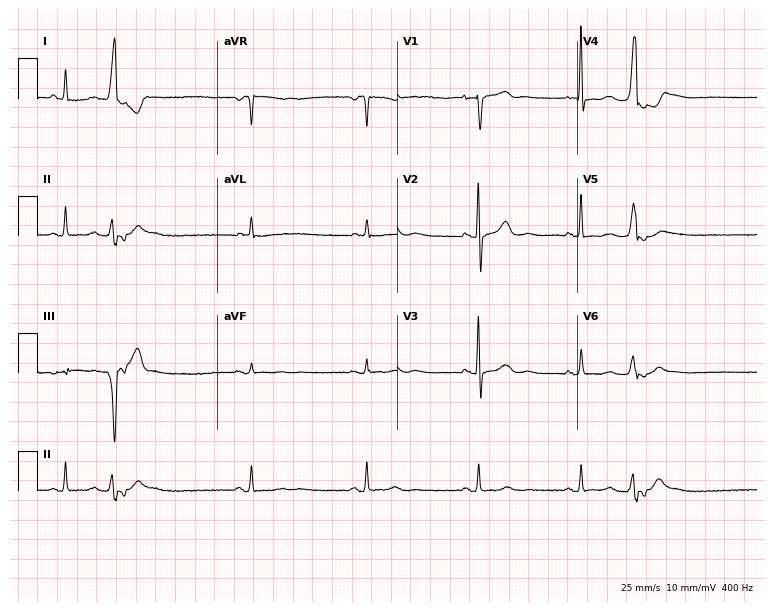
Standard 12-lead ECG recorded from an 84-year-old female. None of these six findings is recorded: first-degree AV block, right bundle branch block, left bundle branch block, sinus bradycardia, atrial fibrillation, sinus tachycardia. Findings outside these six are not listed.